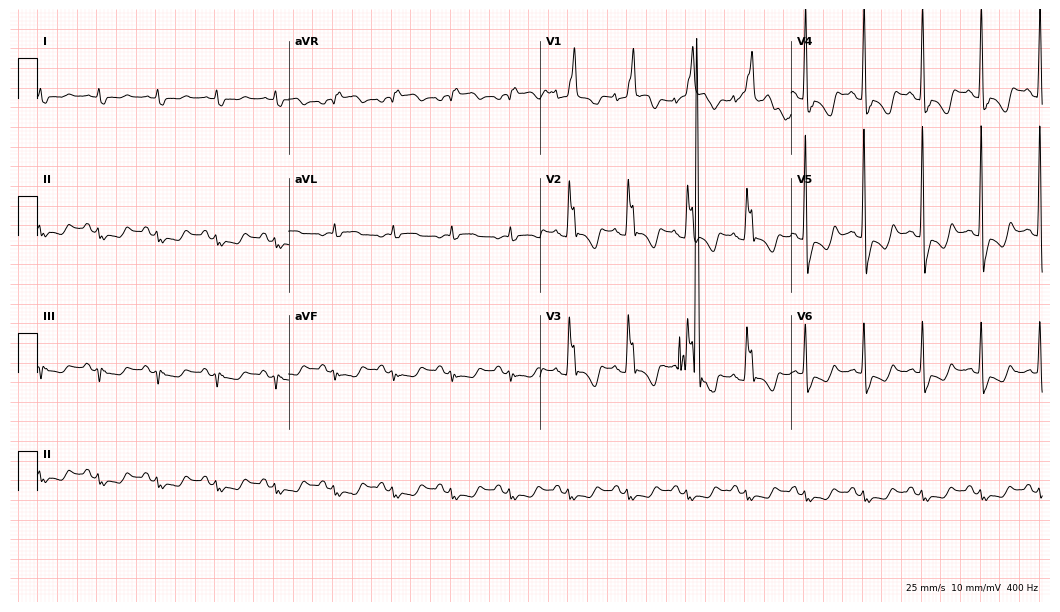
12-lead ECG (10.2-second recording at 400 Hz) from an 84-year-old male patient. Screened for six findings — first-degree AV block, right bundle branch block, left bundle branch block, sinus bradycardia, atrial fibrillation, sinus tachycardia — none is recorded. Findings outside these six are not listed.